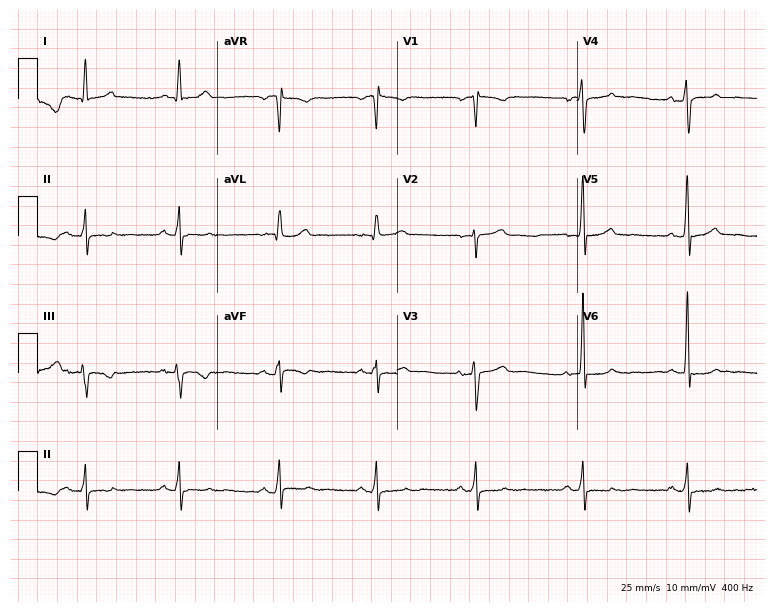
12-lead ECG from a woman, 36 years old (7.3-second recording at 400 Hz). No first-degree AV block, right bundle branch block, left bundle branch block, sinus bradycardia, atrial fibrillation or sinus tachycardia recorded for this tracing.